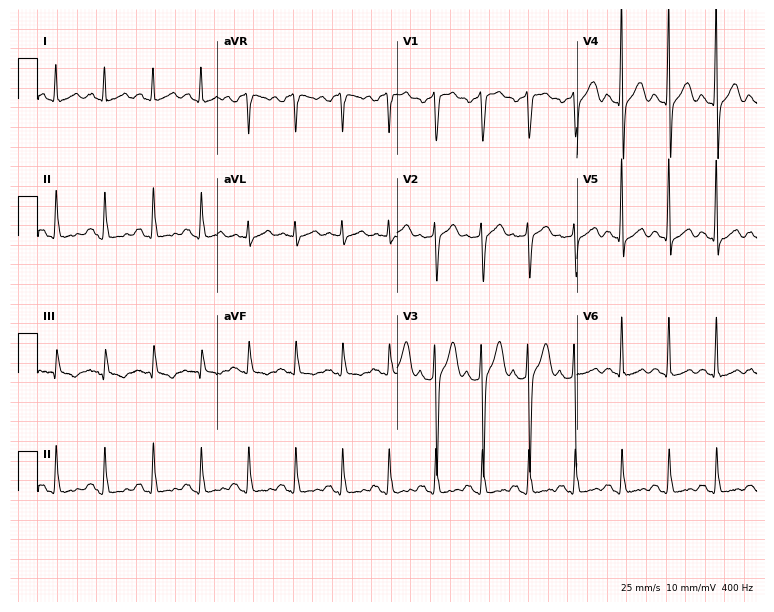
Standard 12-lead ECG recorded from a male, 42 years old (7.3-second recording at 400 Hz). The tracing shows sinus tachycardia (a sinus rate of 100 beats per minute or more).